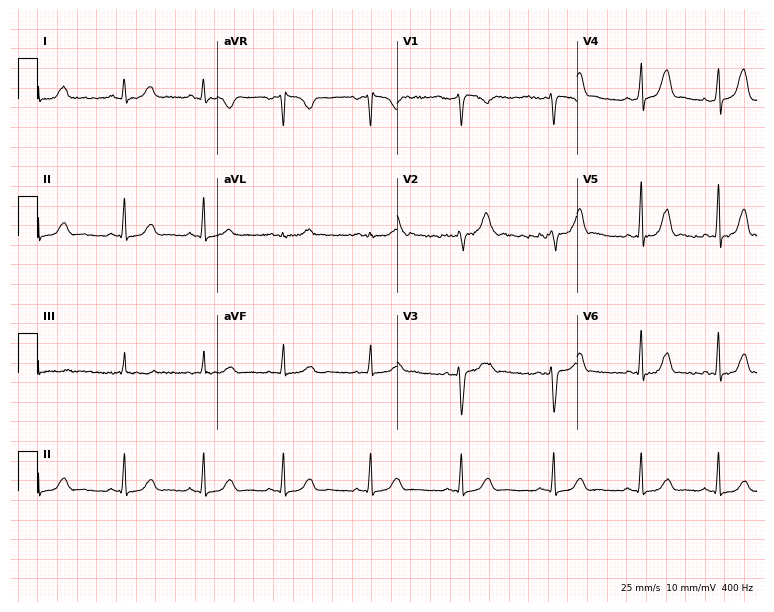
Standard 12-lead ECG recorded from a 26-year-old female (7.3-second recording at 400 Hz). Read as a normal ECG.